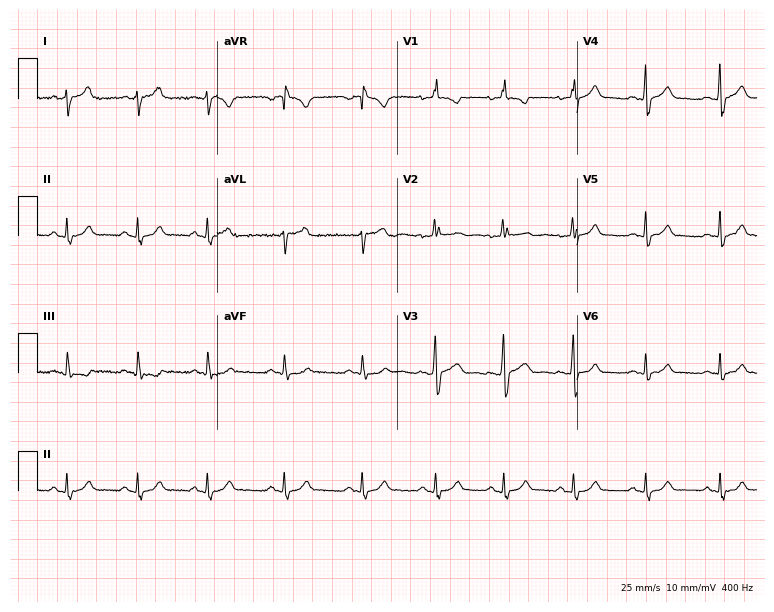
Standard 12-lead ECG recorded from a female, 32 years old (7.3-second recording at 400 Hz). None of these six findings is recorded: first-degree AV block, right bundle branch block, left bundle branch block, sinus bradycardia, atrial fibrillation, sinus tachycardia.